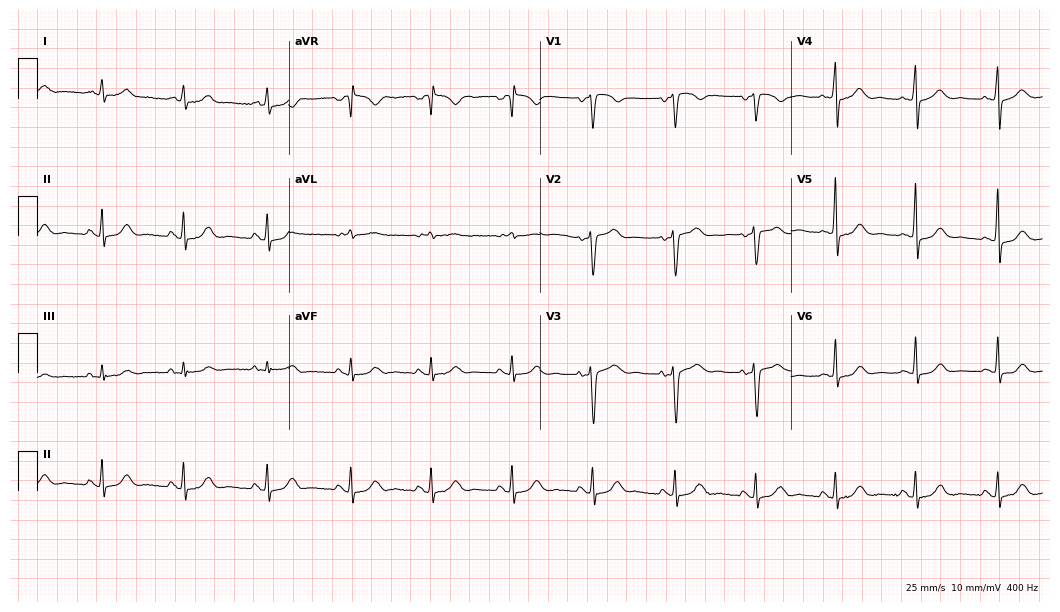
Electrocardiogram, a 49-year-old female patient. Overall reading on record: normal ECG.